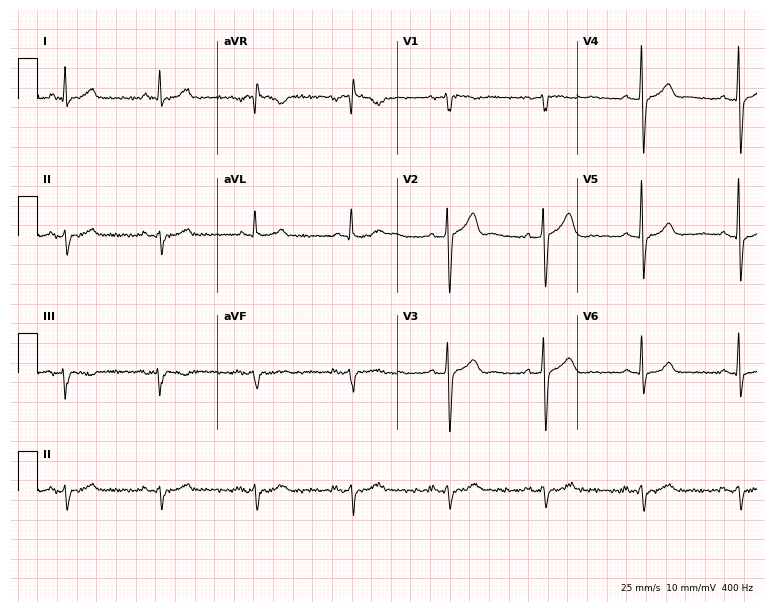
Electrocardiogram, a 64-year-old male. Of the six screened findings (first-degree AV block, right bundle branch block (RBBB), left bundle branch block (LBBB), sinus bradycardia, atrial fibrillation (AF), sinus tachycardia), none is recorded. Only these six findings were labelled.